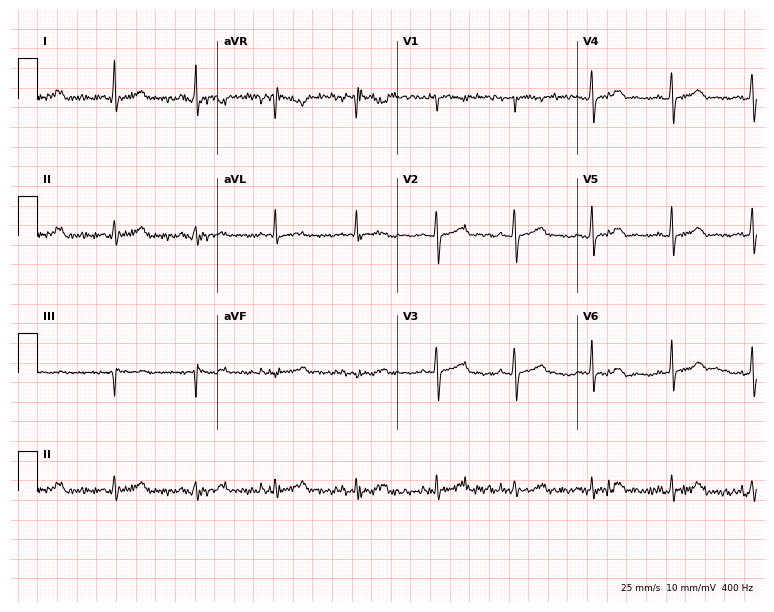
12-lead ECG from a 37-year-old female patient (7.3-second recording at 400 Hz). No first-degree AV block, right bundle branch block (RBBB), left bundle branch block (LBBB), sinus bradycardia, atrial fibrillation (AF) or sinus tachycardia recorded for this tracing. Findings outside these six are not listed.